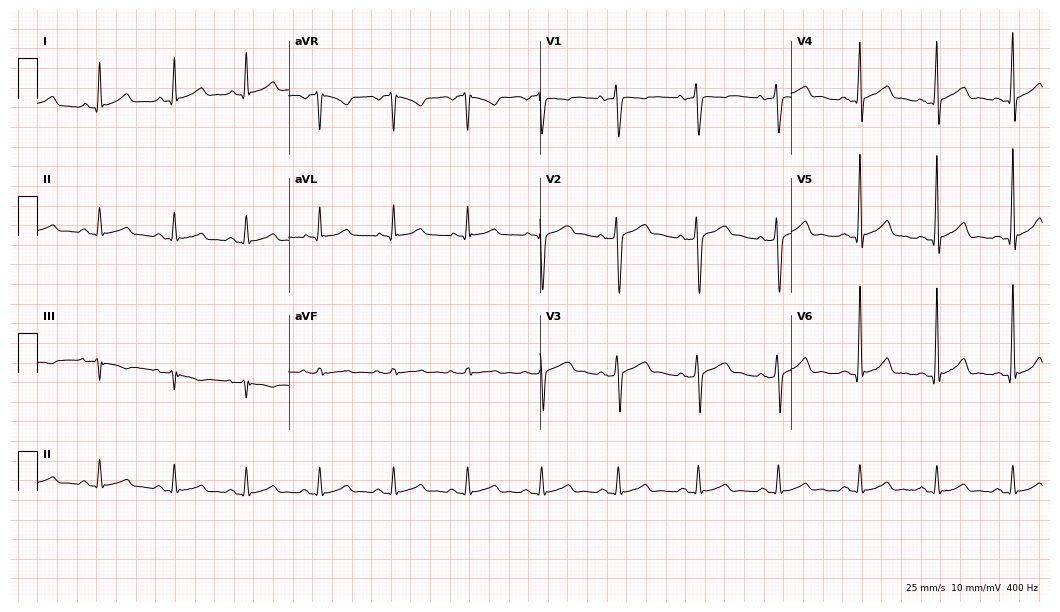
Electrocardiogram (10.2-second recording at 400 Hz), a 40-year-old woman. Overall reading on record: normal ECG.